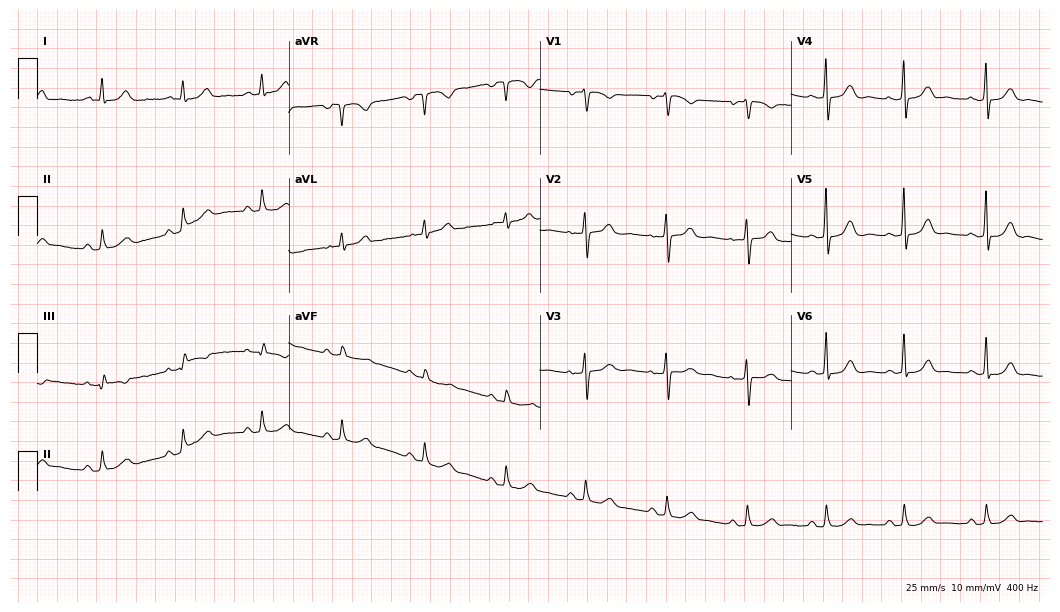
Resting 12-lead electrocardiogram. Patient: a woman, 45 years old. Read as a normal ECG.